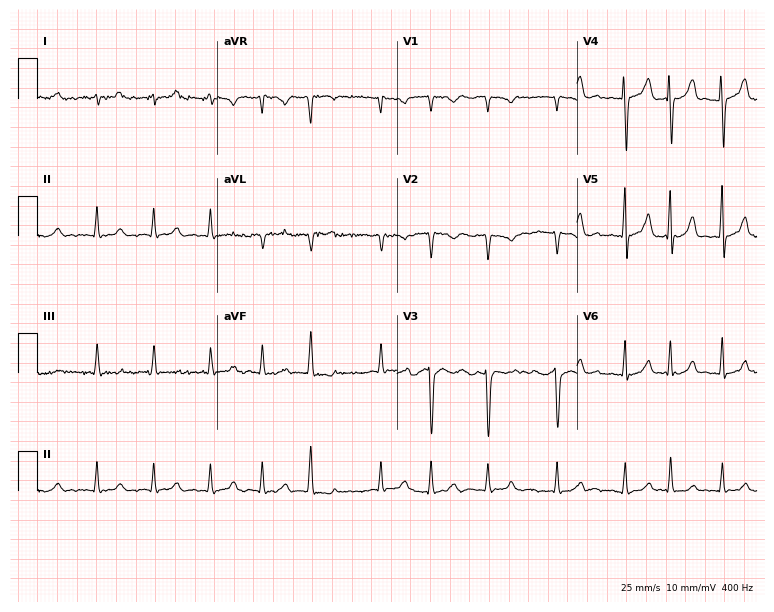
Standard 12-lead ECG recorded from a female, 81 years old (7.3-second recording at 400 Hz). The tracing shows atrial fibrillation.